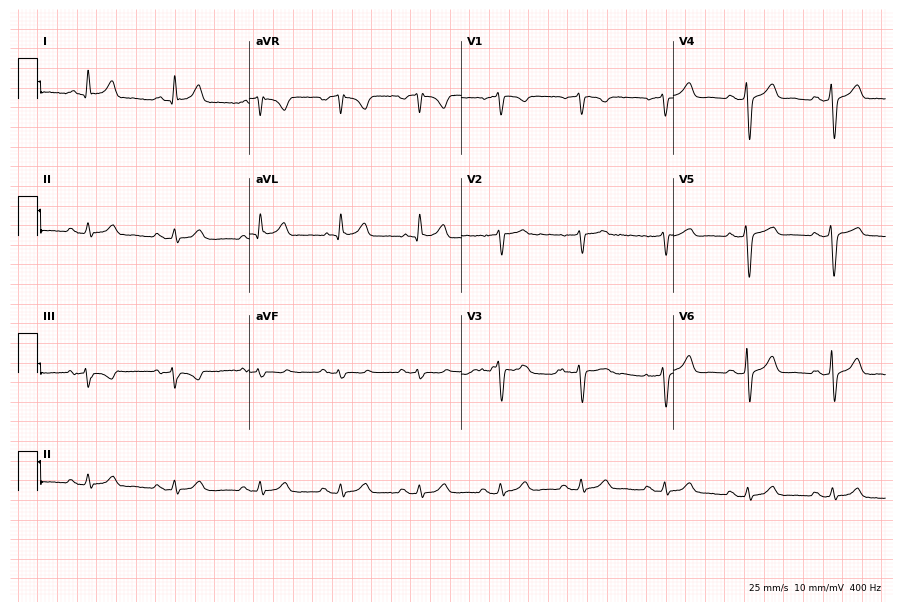
Standard 12-lead ECG recorded from a 45-year-old male. None of these six findings is recorded: first-degree AV block, right bundle branch block, left bundle branch block, sinus bradycardia, atrial fibrillation, sinus tachycardia. Findings outside these six are not listed.